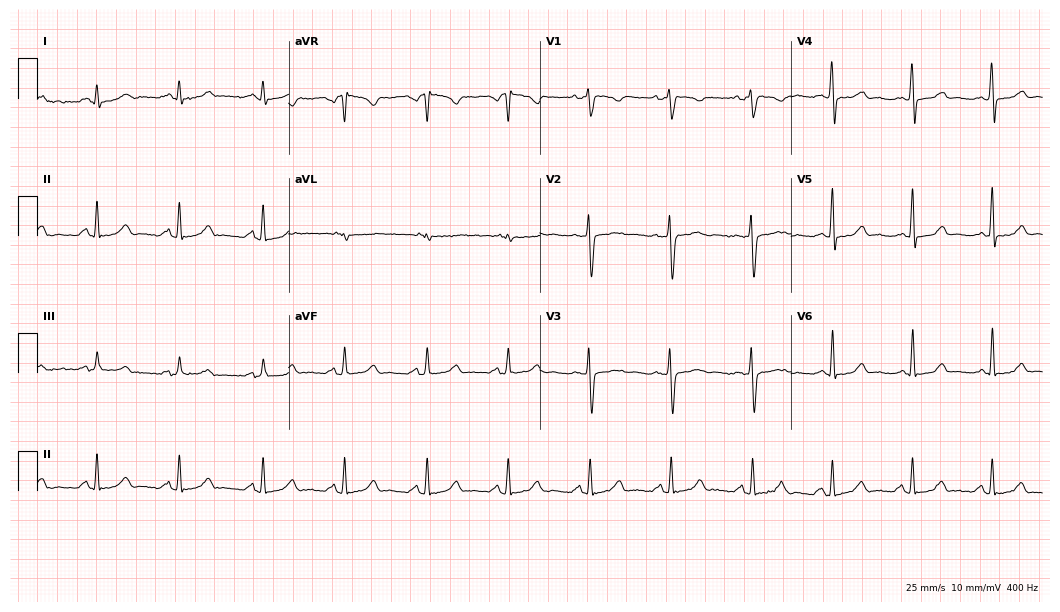
ECG — a female patient, 46 years old. Labelled as a normal ECG.